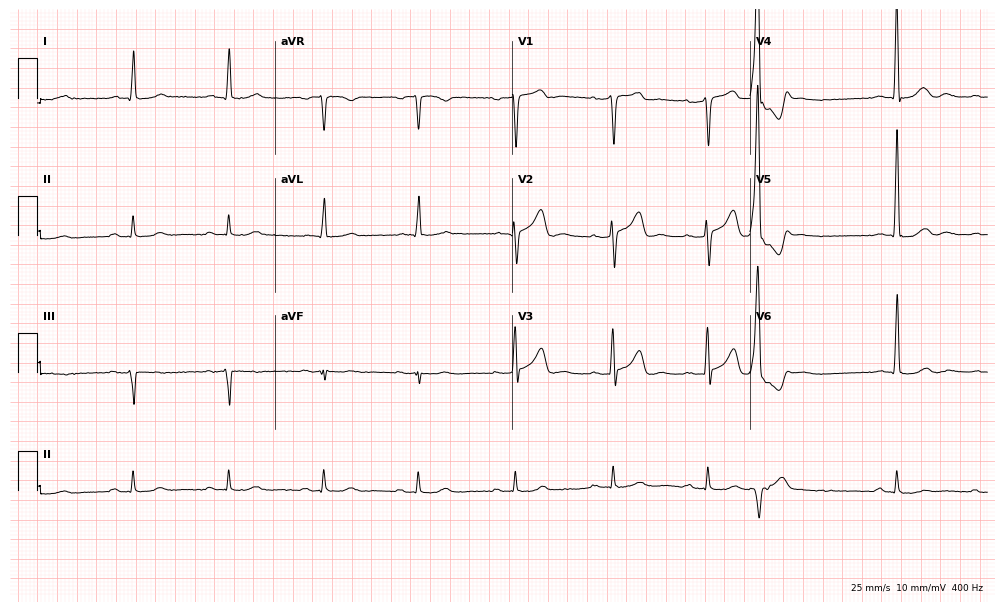
12-lead ECG from a 74-year-old man. No first-degree AV block, right bundle branch block (RBBB), left bundle branch block (LBBB), sinus bradycardia, atrial fibrillation (AF) or sinus tachycardia recorded for this tracing. Only these six findings were labelled.